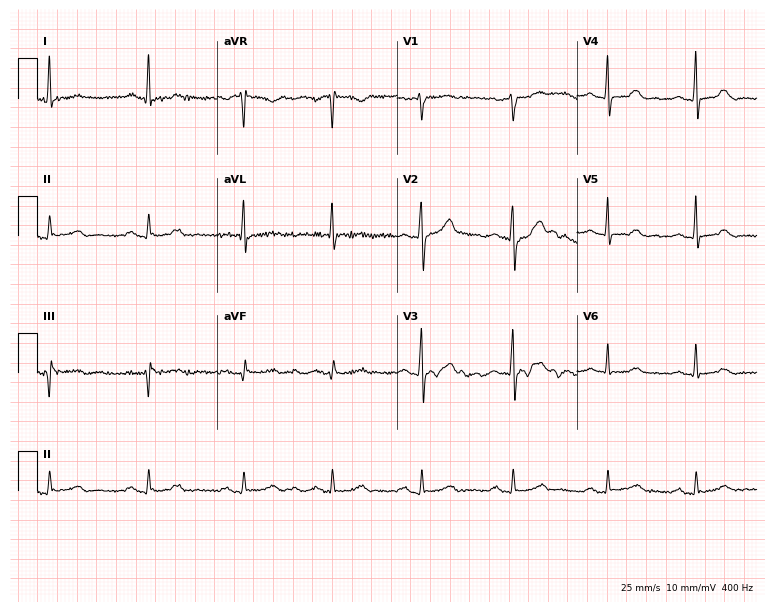
12-lead ECG from a 46-year-old man. Recorded interpretation: within normal limits.